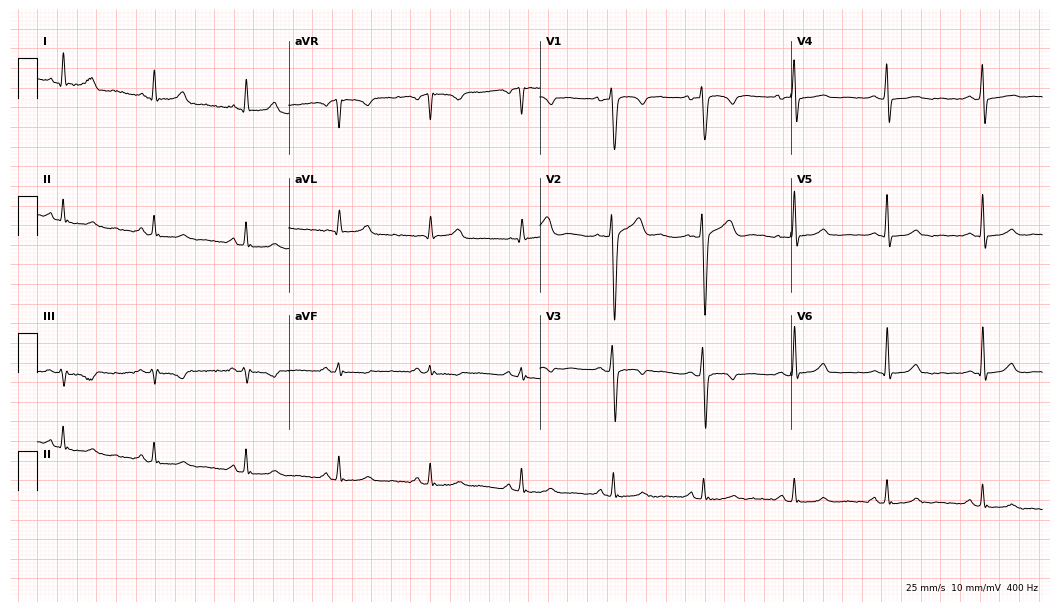
Electrocardiogram (10.2-second recording at 400 Hz), a 41-year-old male patient. Of the six screened findings (first-degree AV block, right bundle branch block (RBBB), left bundle branch block (LBBB), sinus bradycardia, atrial fibrillation (AF), sinus tachycardia), none is recorded. Only these six findings were labelled.